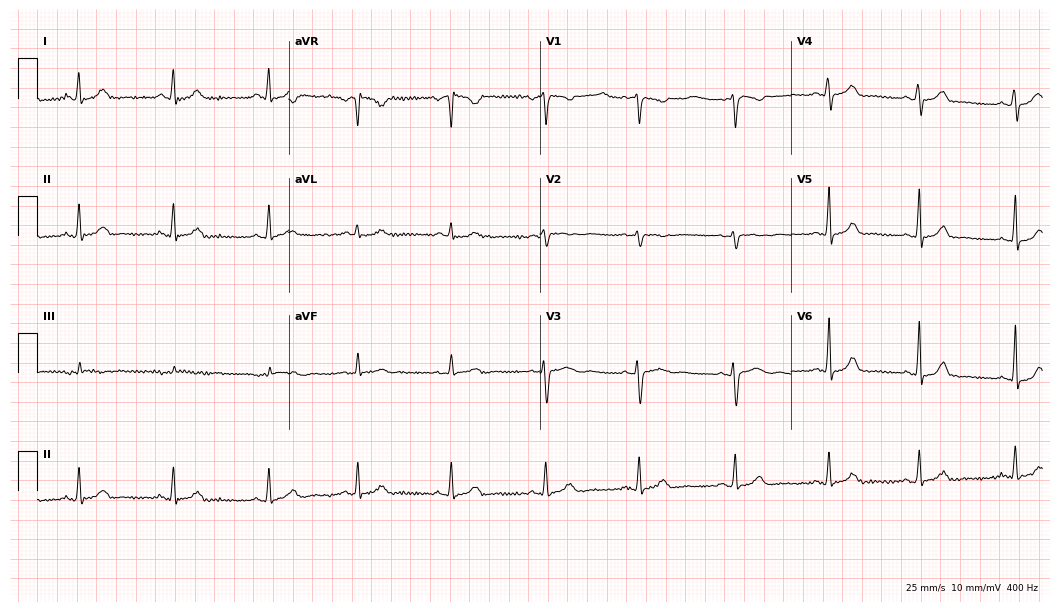
Standard 12-lead ECG recorded from a 32-year-old female patient. None of these six findings is recorded: first-degree AV block, right bundle branch block, left bundle branch block, sinus bradycardia, atrial fibrillation, sinus tachycardia. Other findings, if any, are not listed.